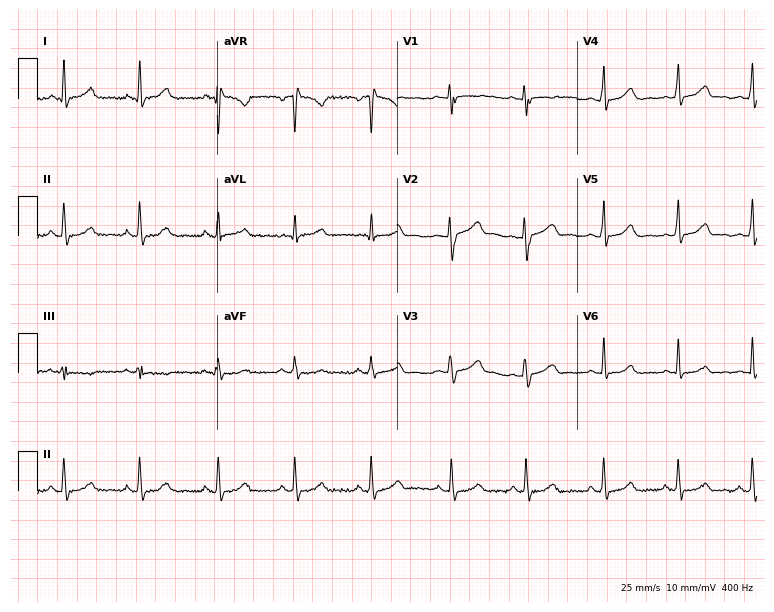
ECG — a 27-year-old woman. Screened for six findings — first-degree AV block, right bundle branch block, left bundle branch block, sinus bradycardia, atrial fibrillation, sinus tachycardia — none is recorded.